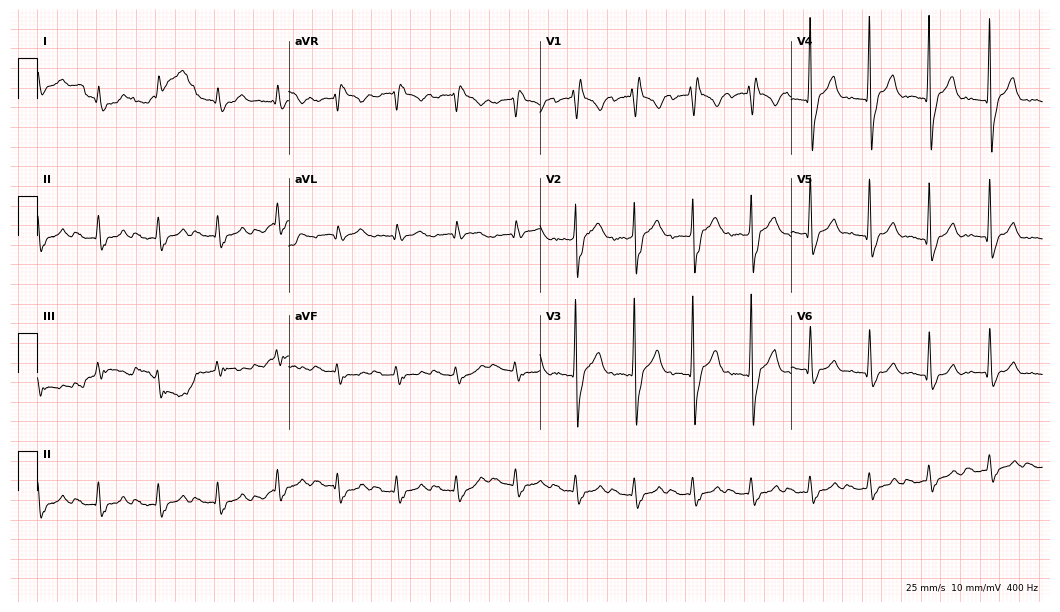
Standard 12-lead ECG recorded from a man, 68 years old (10.2-second recording at 400 Hz). The tracing shows right bundle branch block (RBBB).